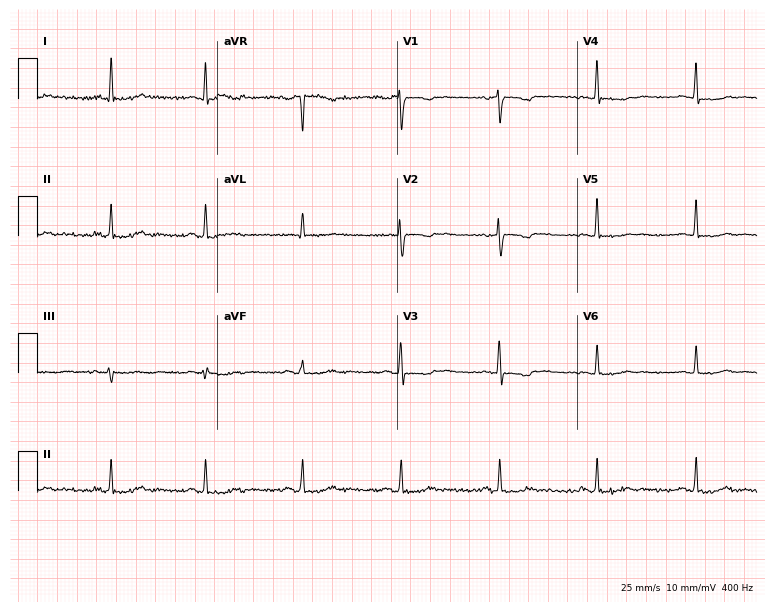
Standard 12-lead ECG recorded from a female, 59 years old (7.3-second recording at 400 Hz). None of these six findings is recorded: first-degree AV block, right bundle branch block, left bundle branch block, sinus bradycardia, atrial fibrillation, sinus tachycardia. Findings outside these six are not listed.